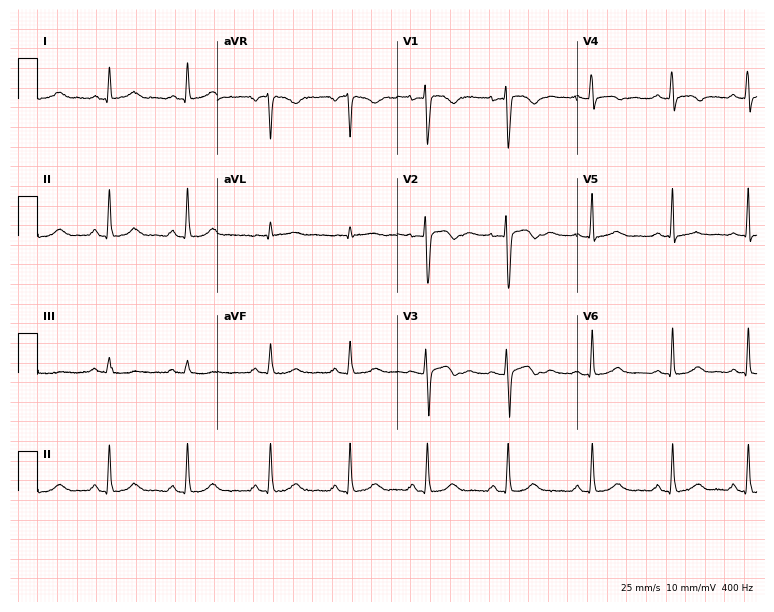
Resting 12-lead electrocardiogram. Patient: a female, 37 years old. None of these six findings is recorded: first-degree AV block, right bundle branch block, left bundle branch block, sinus bradycardia, atrial fibrillation, sinus tachycardia.